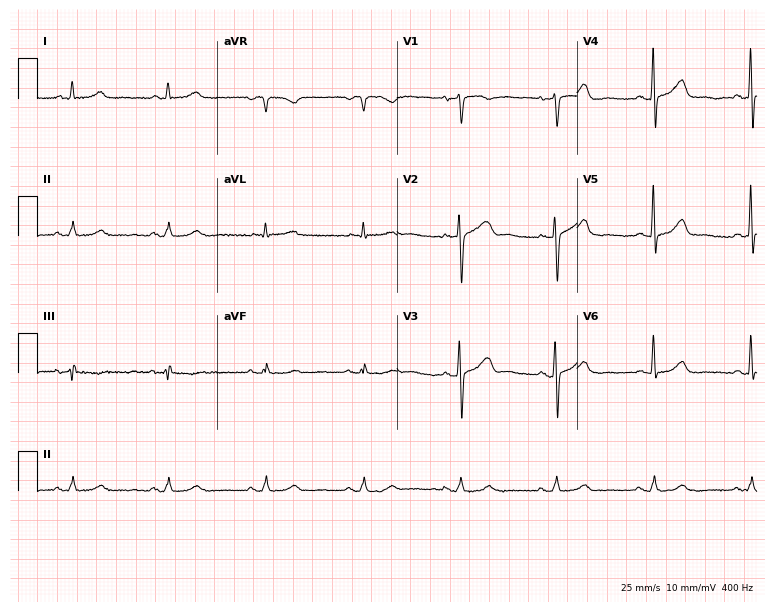
ECG (7.3-second recording at 400 Hz) — an 80-year-old male patient. Labelled as a normal ECG.